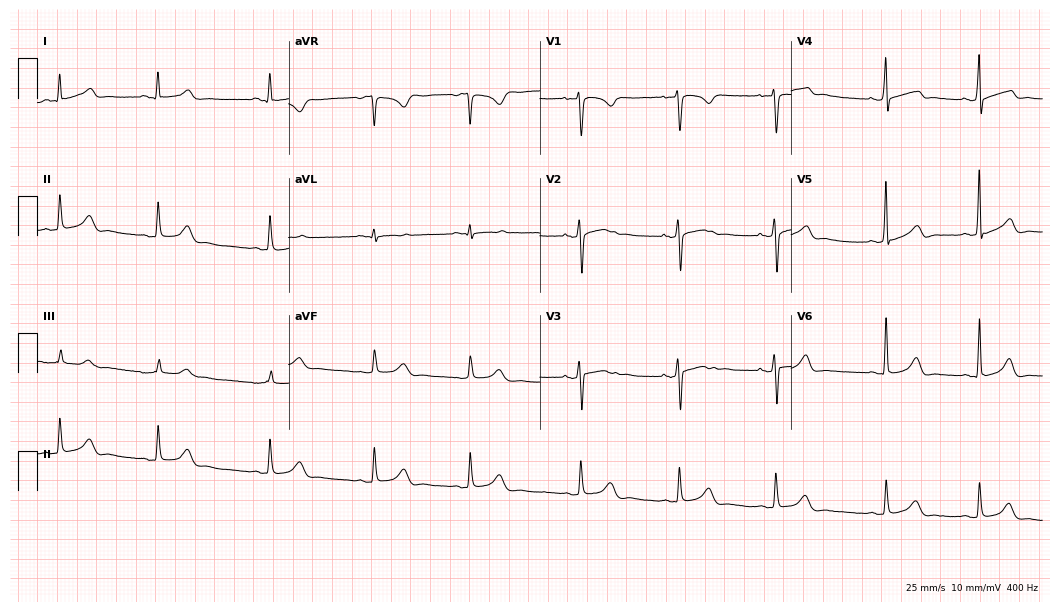
Standard 12-lead ECG recorded from a female, 24 years old. Read as a normal ECG.